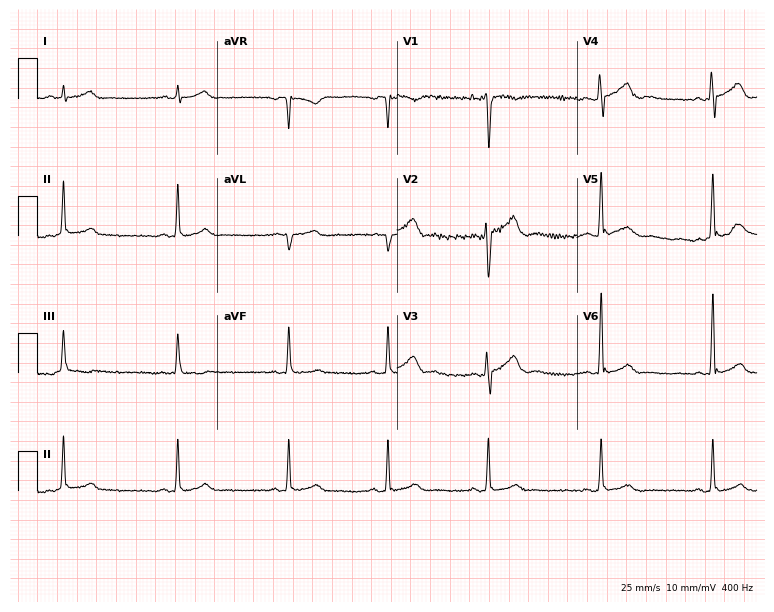
ECG (7.3-second recording at 400 Hz) — a 27-year-old male patient. Screened for six findings — first-degree AV block, right bundle branch block (RBBB), left bundle branch block (LBBB), sinus bradycardia, atrial fibrillation (AF), sinus tachycardia — none is recorded. Other findings, if any, are not listed.